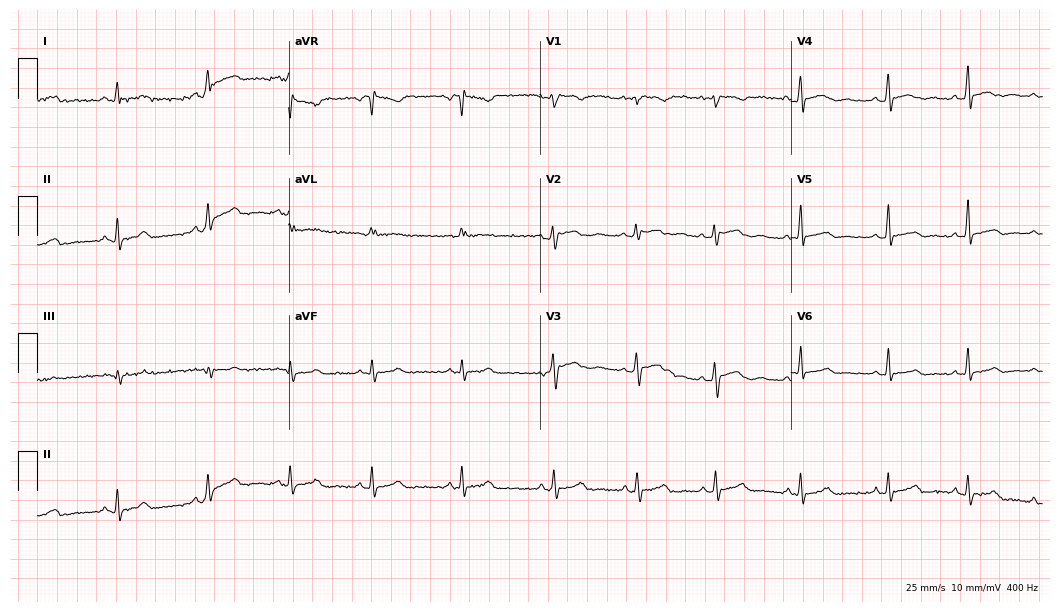
ECG — a woman, 23 years old. Labelled as a normal ECG.